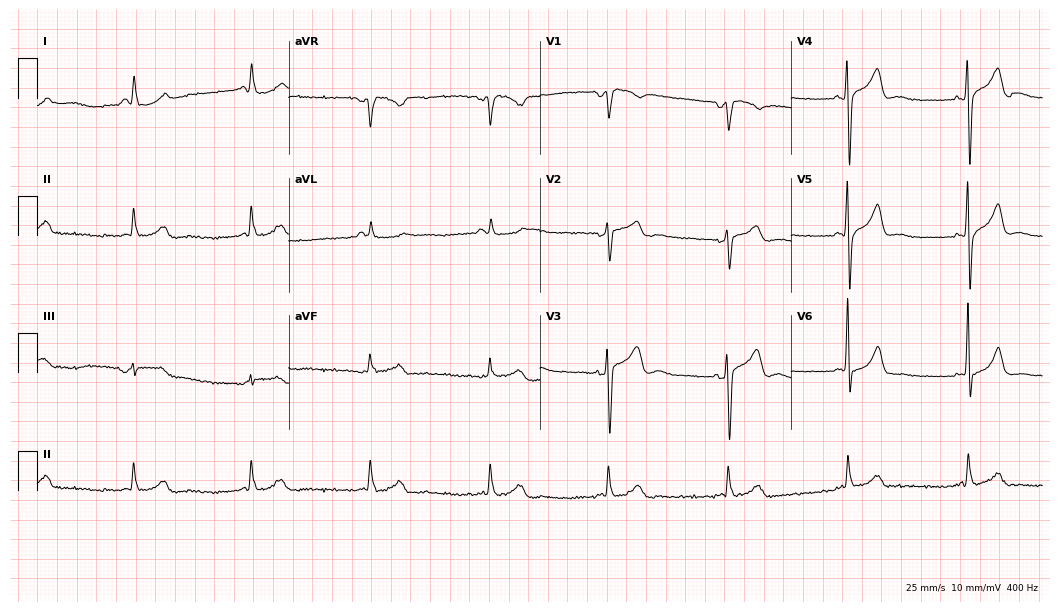
Resting 12-lead electrocardiogram. Patient: a male, 61 years old. None of these six findings is recorded: first-degree AV block, right bundle branch block, left bundle branch block, sinus bradycardia, atrial fibrillation, sinus tachycardia. Only these six findings were labelled.